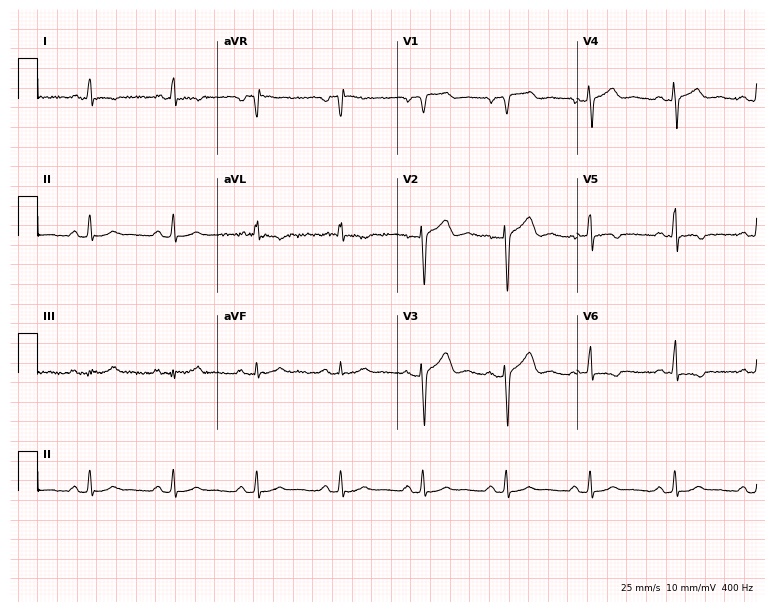
Resting 12-lead electrocardiogram. Patient: a male, 31 years old. None of these six findings is recorded: first-degree AV block, right bundle branch block (RBBB), left bundle branch block (LBBB), sinus bradycardia, atrial fibrillation (AF), sinus tachycardia.